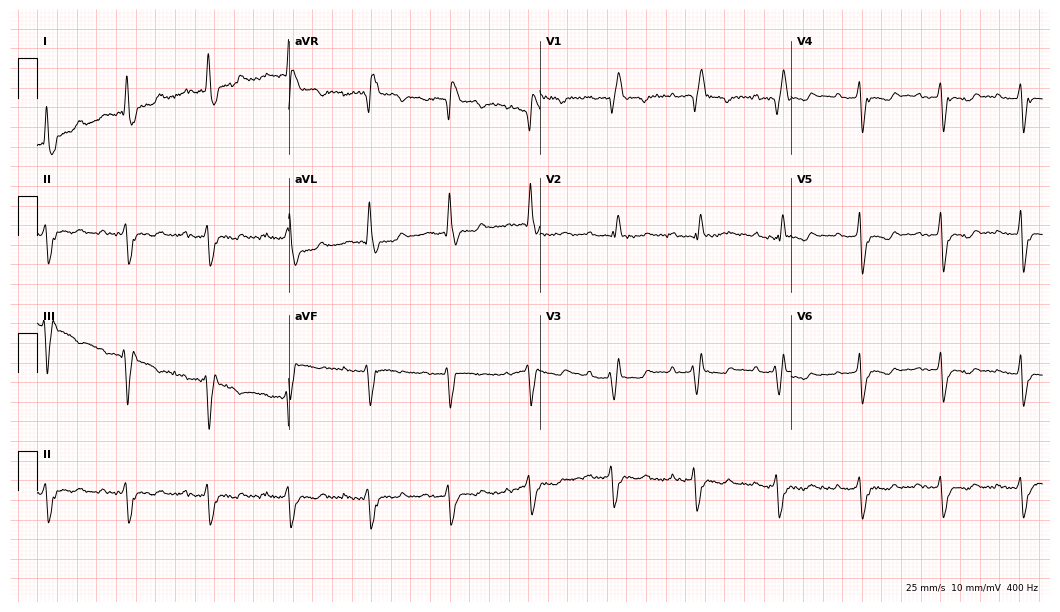
Electrocardiogram (10.2-second recording at 400 Hz), a female, 62 years old. Interpretation includes first-degree AV block, right bundle branch block, left bundle branch block.